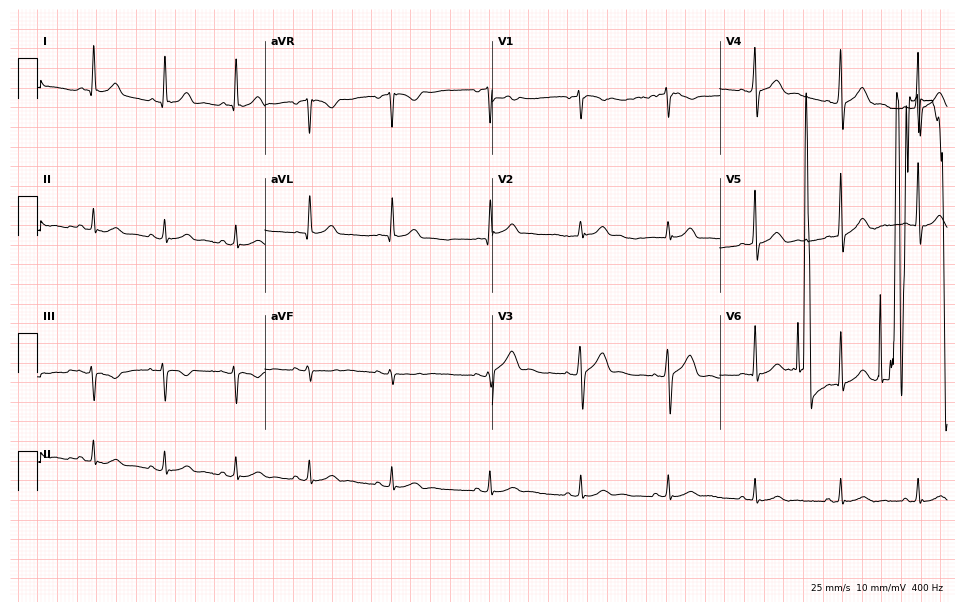
12-lead ECG from a 48-year-old male patient (9.3-second recording at 400 Hz). No first-degree AV block, right bundle branch block (RBBB), left bundle branch block (LBBB), sinus bradycardia, atrial fibrillation (AF) or sinus tachycardia recorded for this tracing.